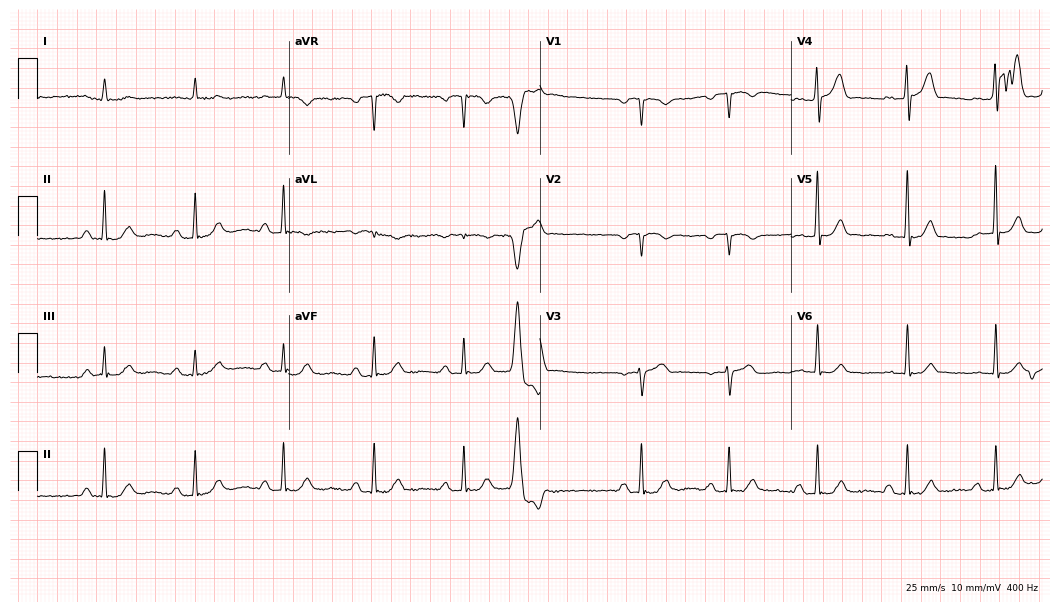
Resting 12-lead electrocardiogram (10.2-second recording at 400 Hz). Patient: a male, 81 years old. The tracing shows first-degree AV block.